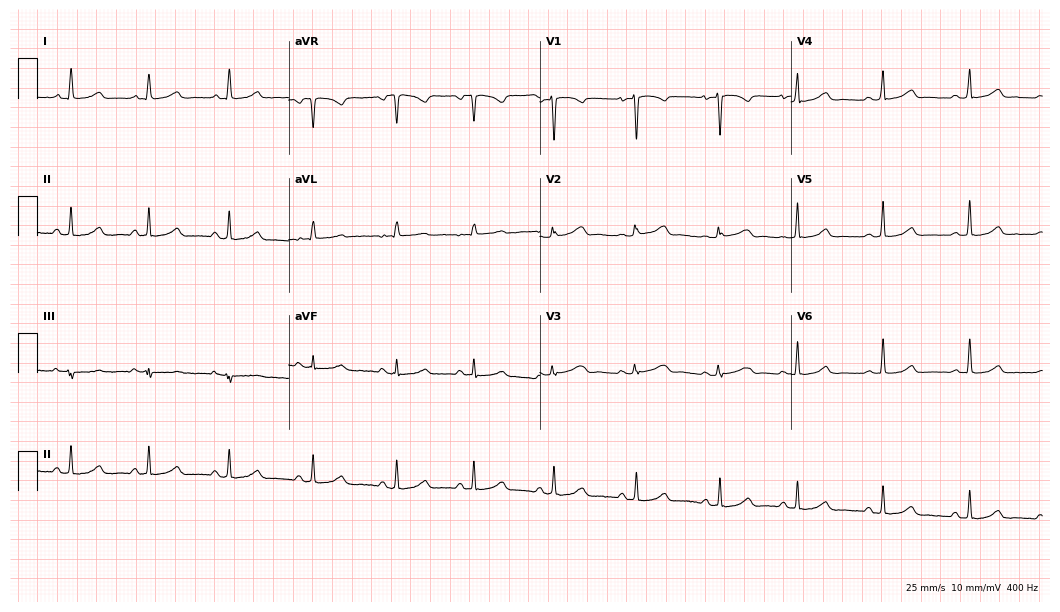
Standard 12-lead ECG recorded from a 34-year-old woman (10.2-second recording at 400 Hz). None of these six findings is recorded: first-degree AV block, right bundle branch block (RBBB), left bundle branch block (LBBB), sinus bradycardia, atrial fibrillation (AF), sinus tachycardia. Other findings, if any, are not listed.